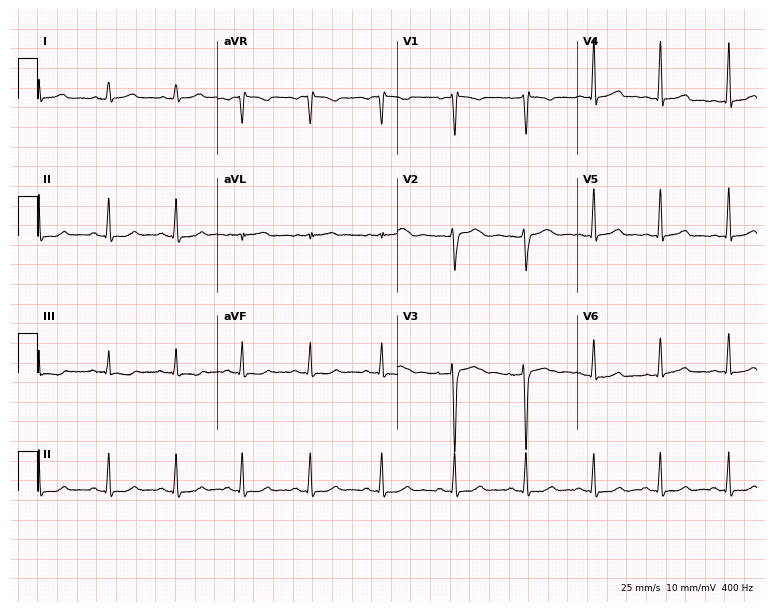
Electrocardiogram, a female patient, 34 years old. Of the six screened findings (first-degree AV block, right bundle branch block (RBBB), left bundle branch block (LBBB), sinus bradycardia, atrial fibrillation (AF), sinus tachycardia), none is recorded. Findings outside these six are not listed.